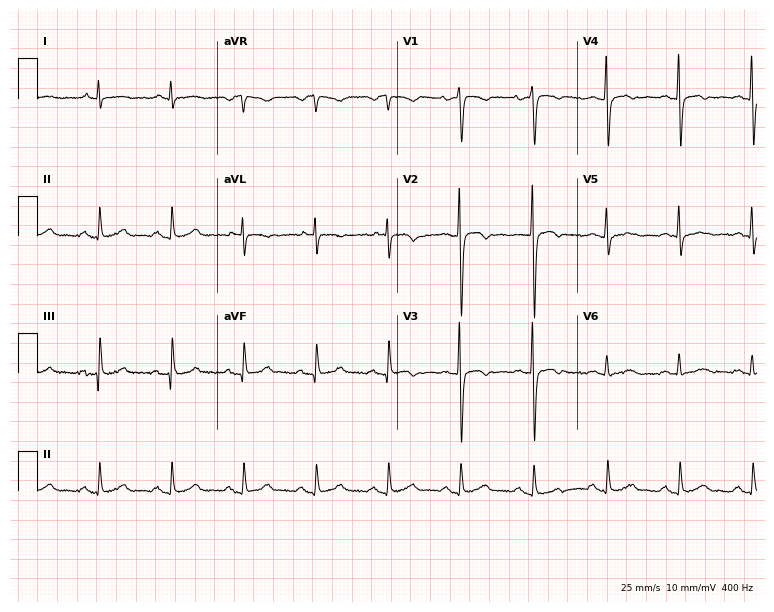
12-lead ECG from a male, 65 years old. Screened for six findings — first-degree AV block, right bundle branch block, left bundle branch block, sinus bradycardia, atrial fibrillation, sinus tachycardia — none is recorded.